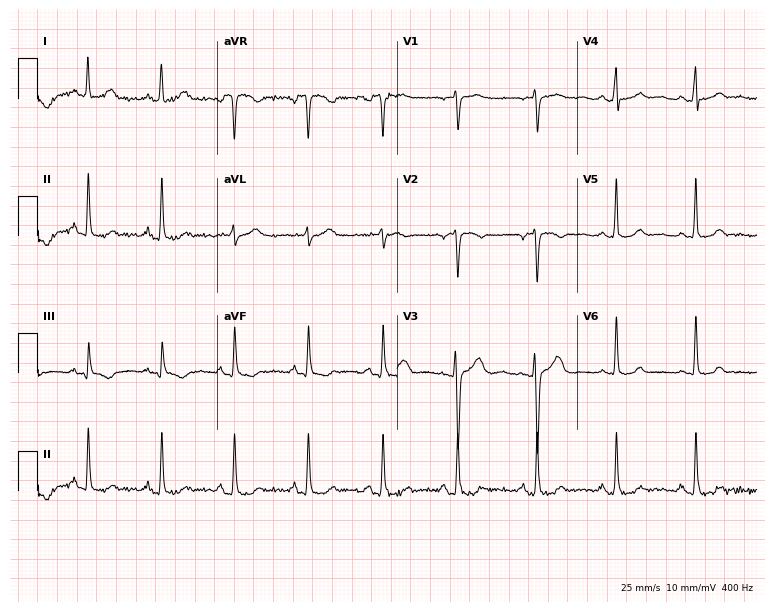
12-lead ECG (7.3-second recording at 400 Hz) from a 29-year-old female. Screened for six findings — first-degree AV block, right bundle branch block, left bundle branch block, sinus bradycardia, atrial fibrillation, sinus tachycardia — none is recorded. Other findings, if any, are not listed.